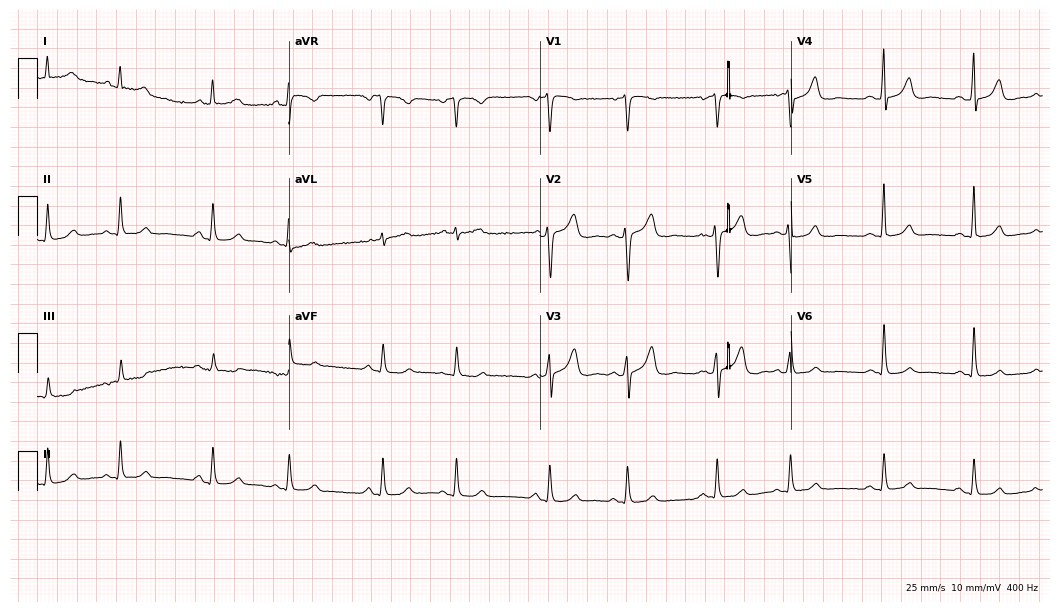
Resting 12-lead electrocardiogram. Patient: a female, 57 years old. None of these six findings is recorded: first-degree AV block, right bundle branch block, left bundle branch block, sinus bradycardia, atrial fibrillation, sinus tachycardia. Other findings, if any, are not listed.